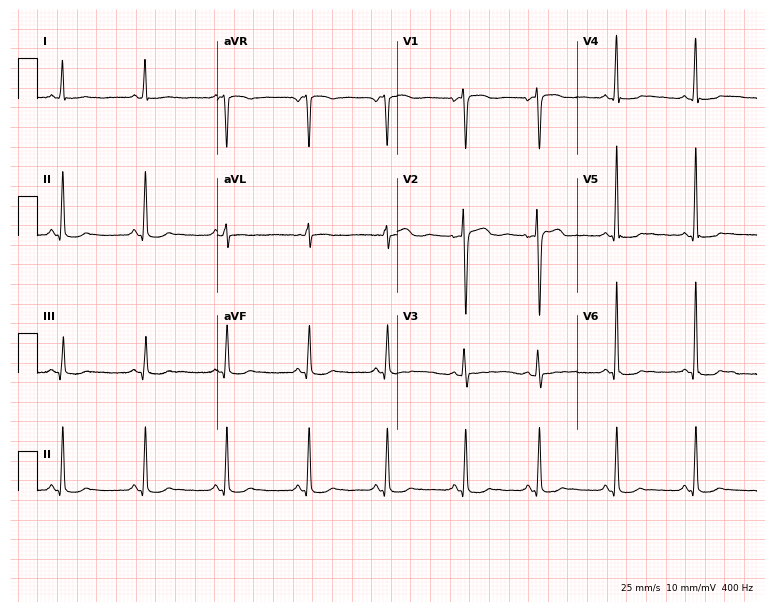
Electrocardiogram (7.3-second recording at 400 Hz), a 29-year-old female. Of the six screened findings (first-degree AV block, right bundle branch block (RBBB), left bundle branch block (LBBB), sinus bradycardia, atrial fibrillation (AF), sinus tachycardia), none is recorded.